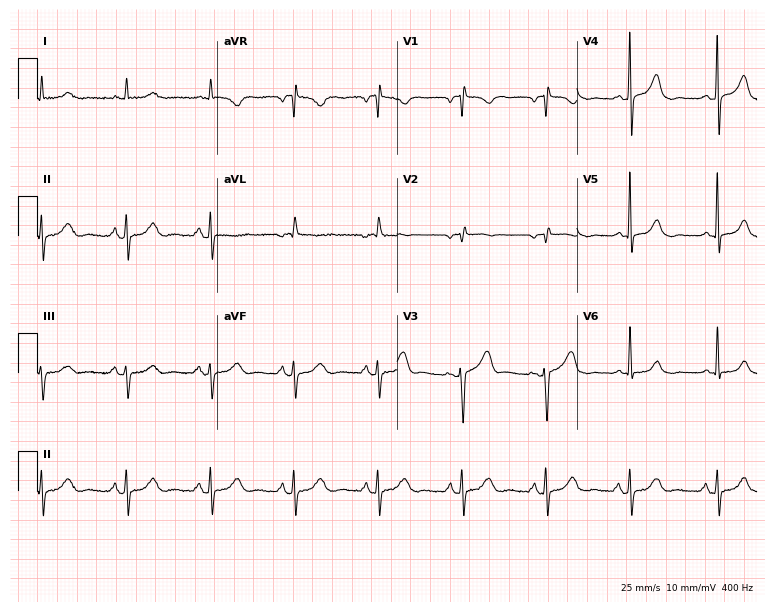
Electrocardiogram, a 72-year-old female patient. Of the six screened findings (first-degree AV block, right bundle branch block (RBBB), left bundle branch block (LBBB), sinus bradycardia, atrial fibrillation (AF), sinus tachycardia), none is recorded.